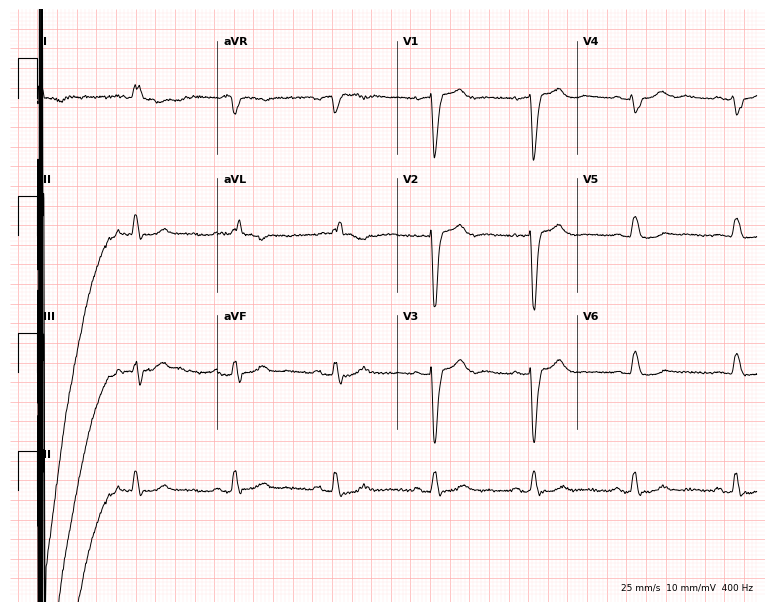
12-lead ECG from an 83-year-old woman. Shows left bundle branch block.